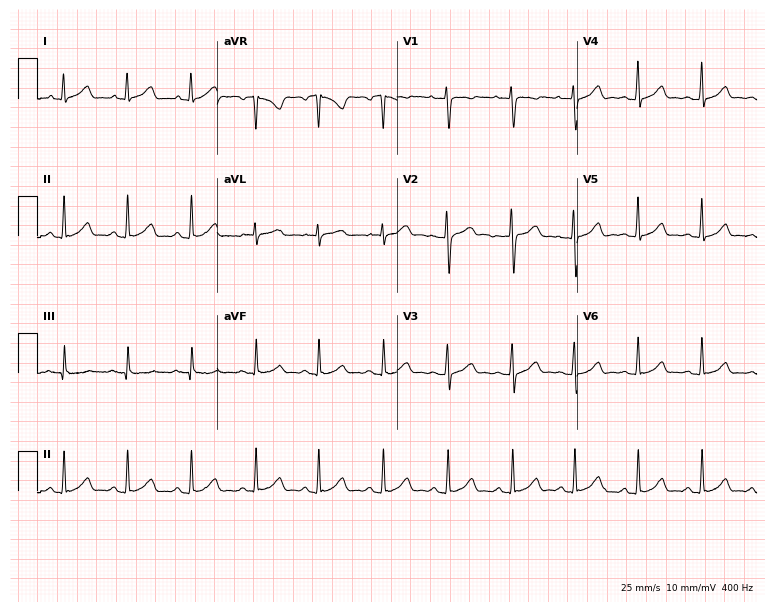
12-lead ECG (7.3-second recording at 400 Hz) from a 31-year-old female. Labelled as a normal ECG.